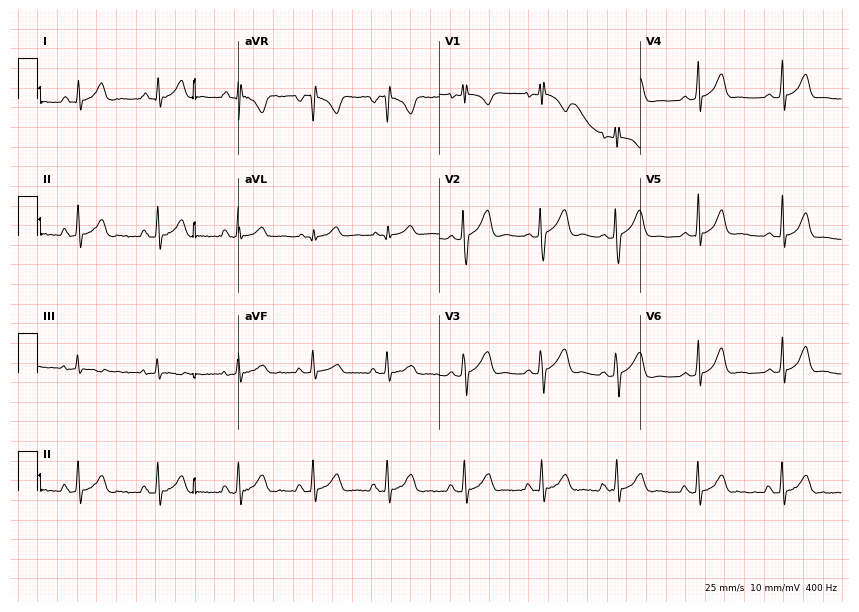
Electrocardiogram (8.2-second recording at 400 Hz), a female, 20 years old. Overall reading on record: normal ECG.